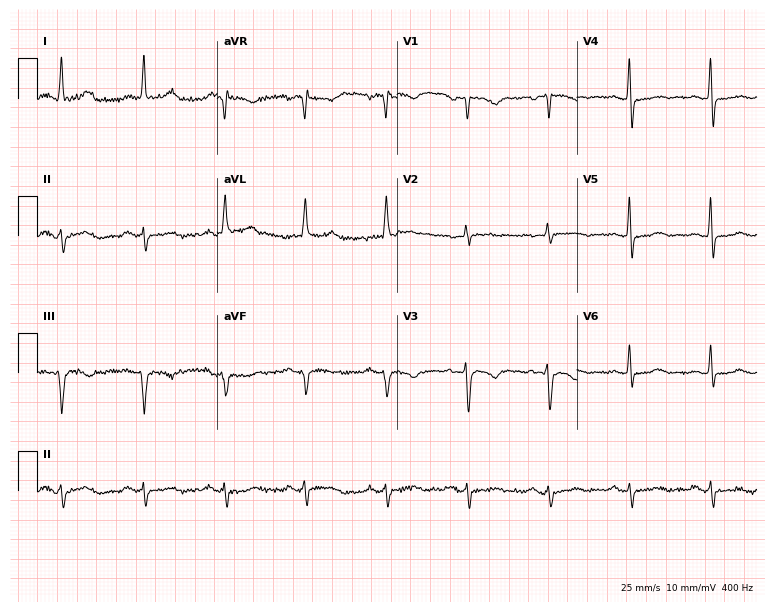
Electrocardiogram, a female patient, 54 years old. Of the six screened findings (first-degree AV block, right bundle branch block, left bundle branch block, sinus bradycardia, atrial fibrillation, sinus tachycardia), none is recorded.